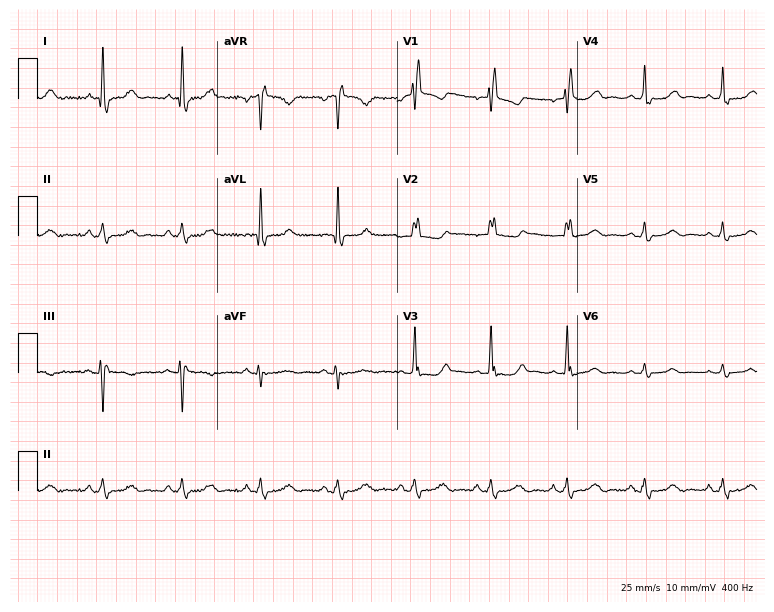
Electrocardiogram, a woman, 52 years old. Interpretation includes right bundle branch block (RBBB).